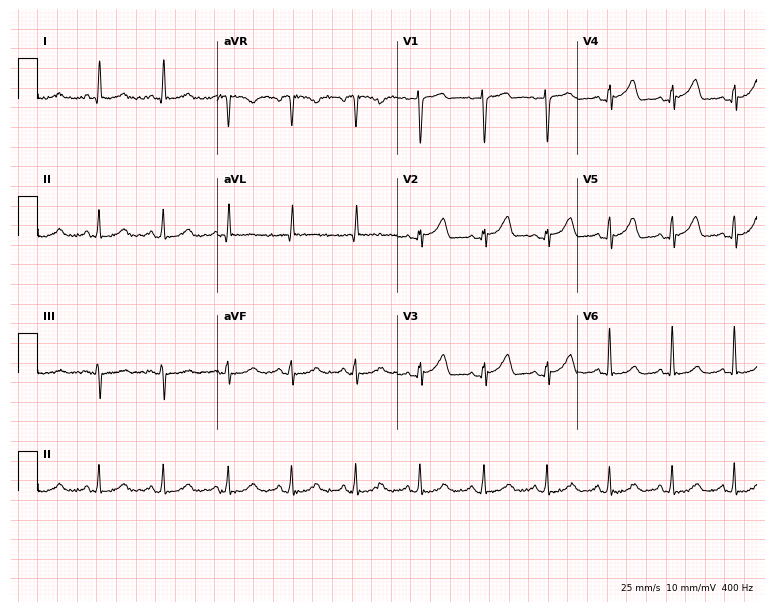
Standard 12-lead ECG recorded from a 71-year-old man. Read as a normal ECG.